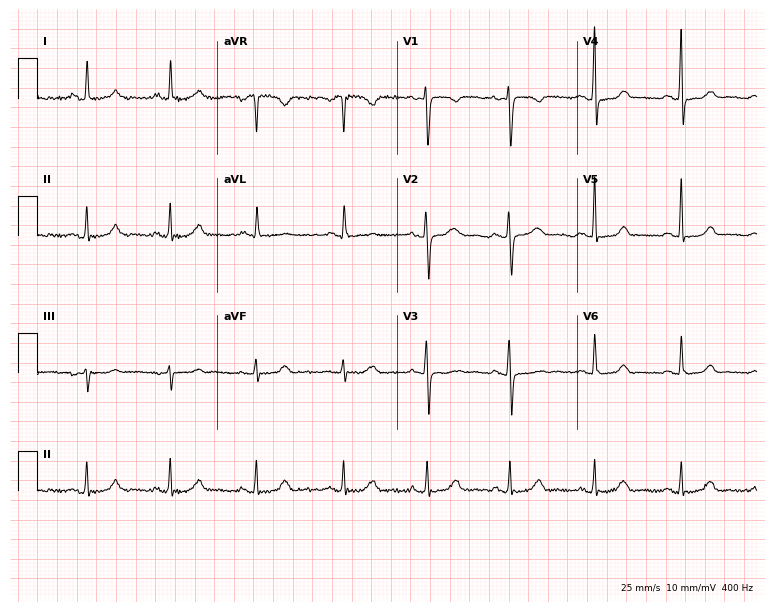
Electrocardiogram, a female, 52 years old. Overall reading on record: normal ECG.